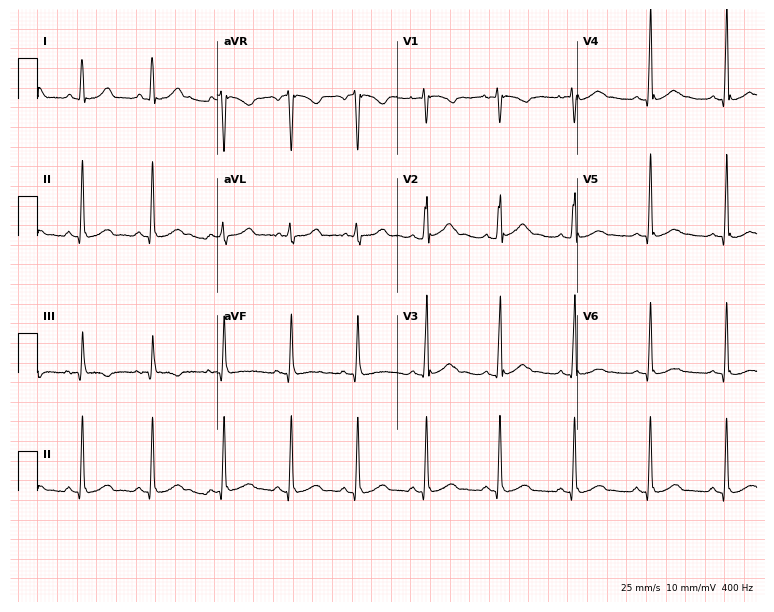
Electrocardiogram (7.3-second recording at 400 Hz), a 21-year-old female. Overall reading on record: normal ECG.